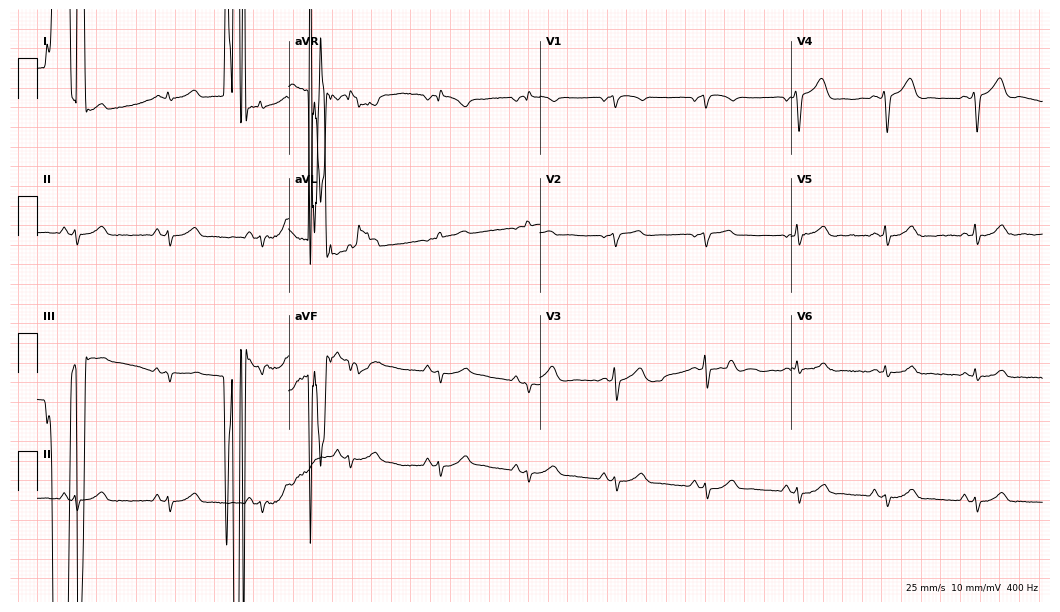
Resting 12-lead electrocardiogram (10.2-second recording at 400 Hz). Patient: a man, 46 years old. None of these six findings is recorded: first-degree AV block, right bundle branch block, left bundle branch block, sinus bradycardia, atrial fibrillation, sinus tachycardia.